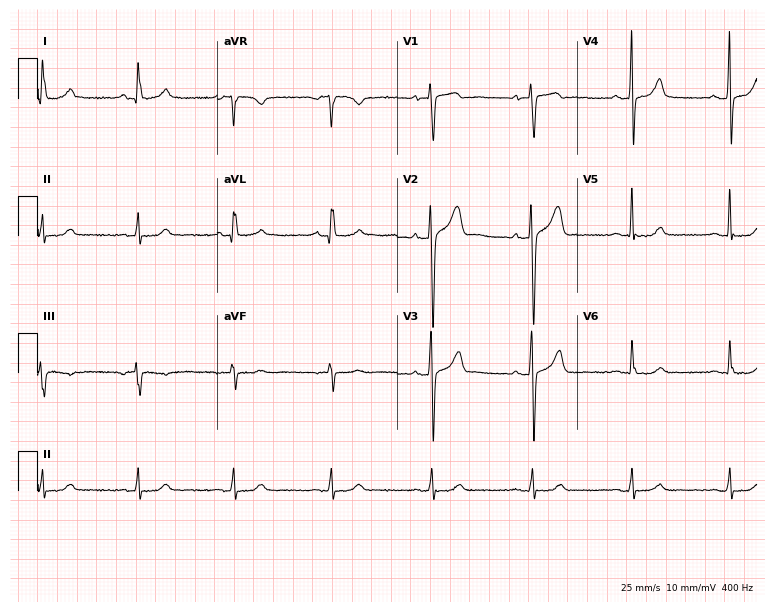
Electrocardiogram, a 53-year-old male. Overall reading on record: normal ECG.